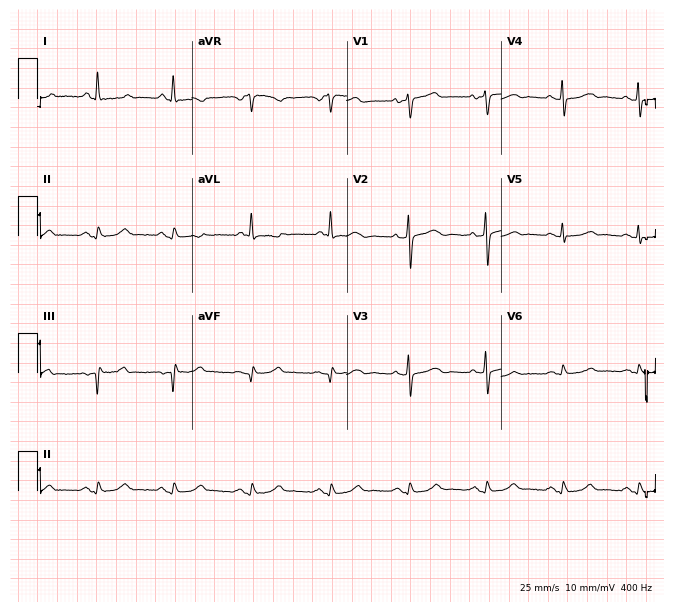
ECG (6.3-second recording at 400 Hz) — a female patient, 63 years old. Screened for six findings — first-degree AV block, right bundle branch block, left bundle branch block, sinus bradycardia, atrial fibrillation, sinus tachycardia — none is recorded.